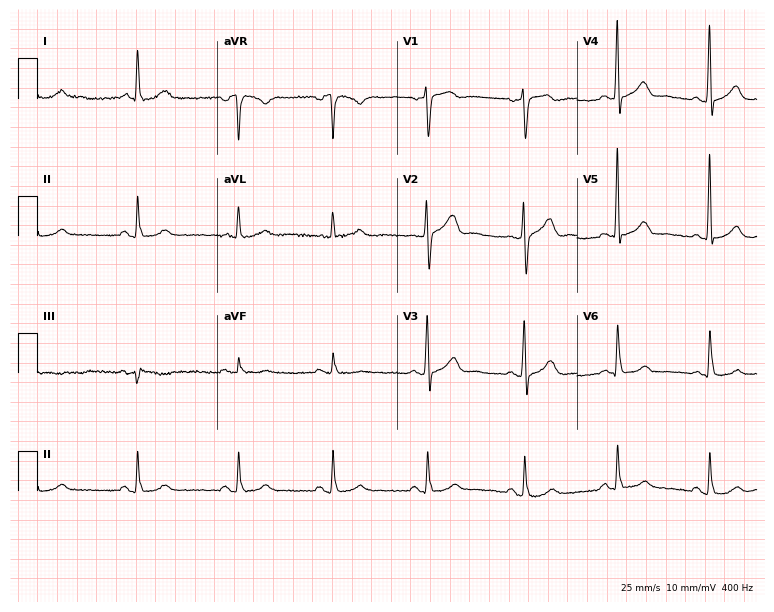
Electrocardiogram, a 61-year-old woman. Overall reading on record: normal ECG.